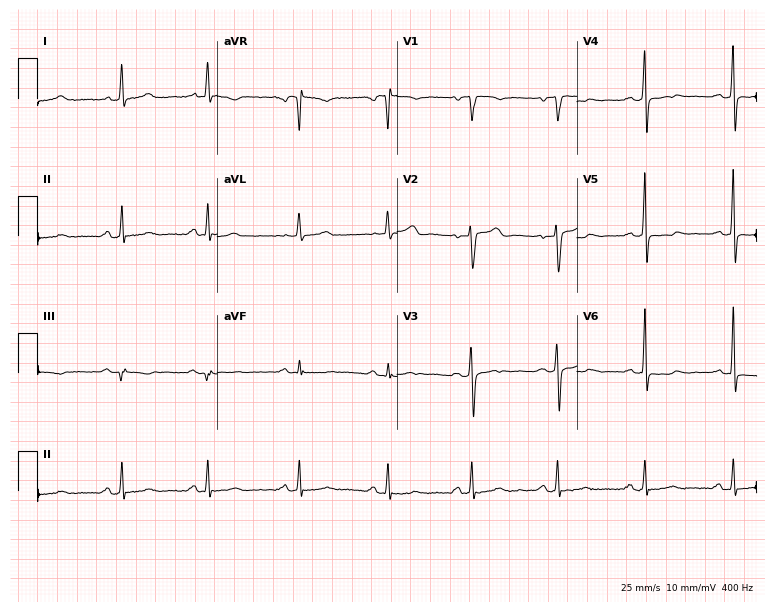
Standard 12-lead ECG recorded from a 26-year-old female patient (7.3-second recording at 400 Hz). None of these six findings is recorded: first-degree AV block, right bundle branch block (RBBB), left bundle branch block (LBBB), sinus bradycardia, atrial fibrillation (AF), sinus tachycardia. Other findings, if any, are not listed.